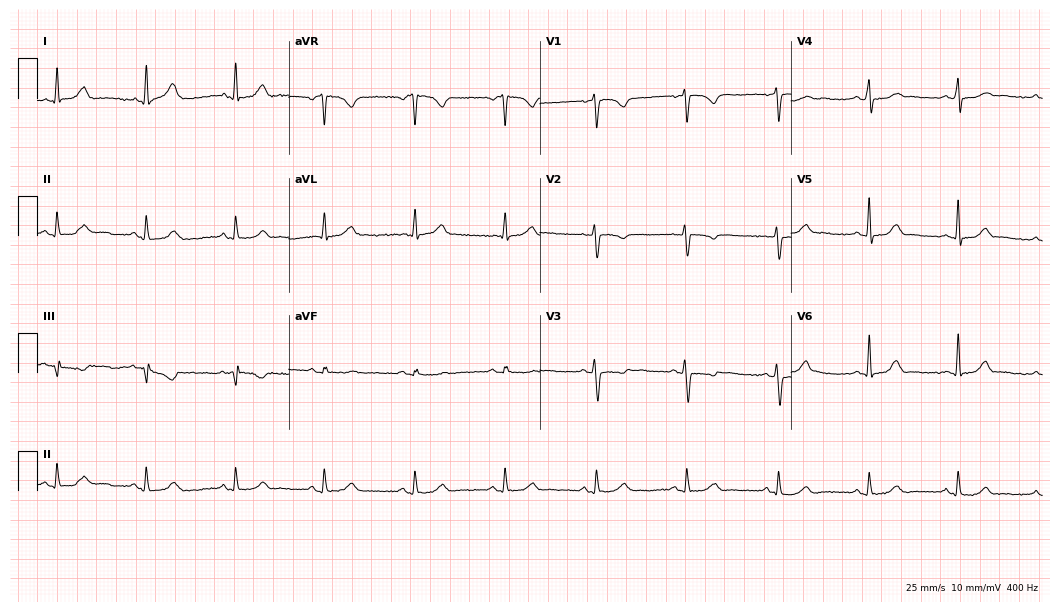
Resting 12-lead electrocardiogram (10.2-second recording at 400 Hz). Patient: a 38-year-old female. None of these six findings is recorded: first-degree AV block, right bundle branch block, left bundle branch block, sinus bradycardia, atrial fibrillation, sinus tachycardia.